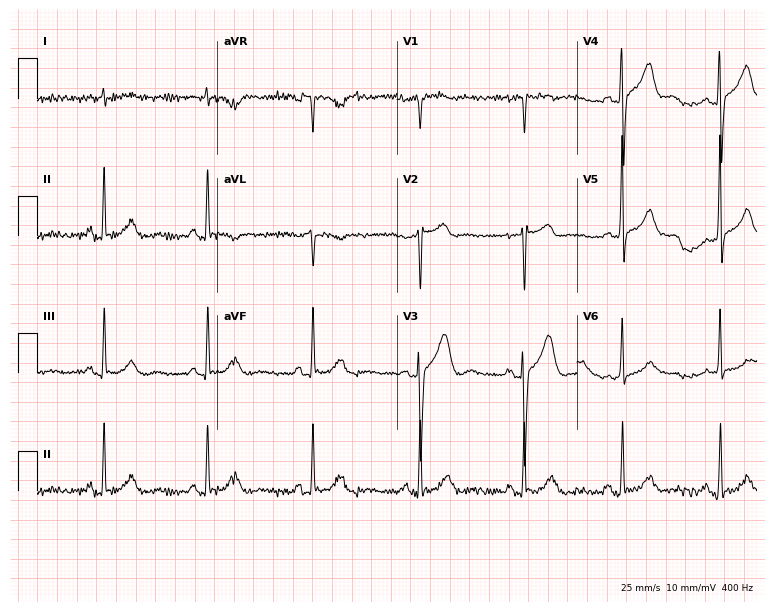
12-lead ECG from a man, 79 years old. No first-degree AV block, right bundle branch block, left bundle branch block, sinus bradycardia, atrial fibrillation or sinus tachycardia recorded for this tracing. Findings outside these six are not listed.